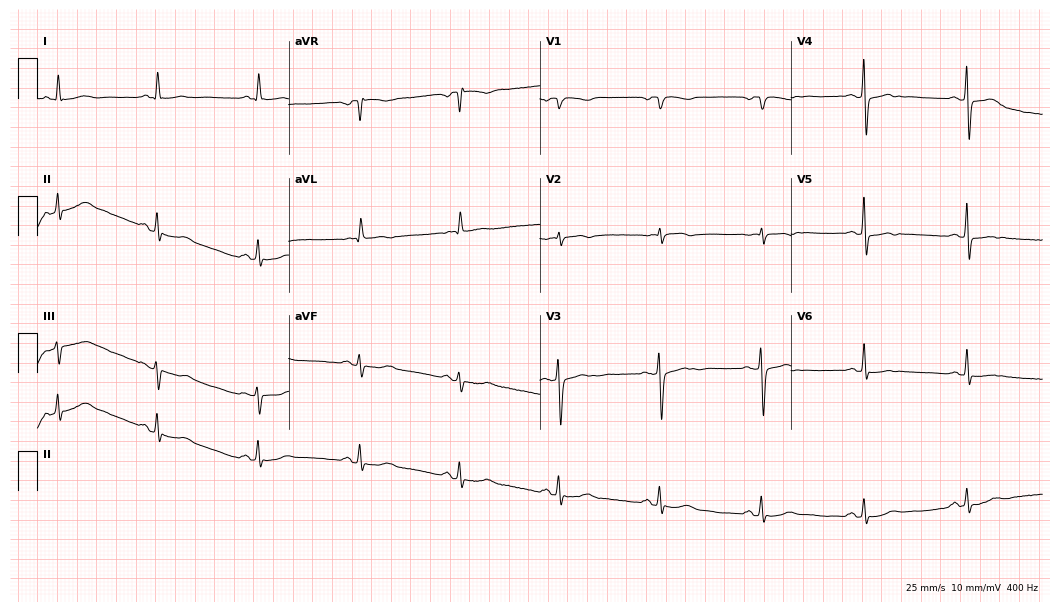
Resting 12-lead electrocardiogram (10.2-second recording at 400 Hz). Patient: an 85-year-old woman. None of these six findings is recorded: first-degree AV block, right bundle branch block, left bundle branch block, sinus bradycardia, atrial fibrillation, sinus tachycardia. Other findings, if any, are not listed.